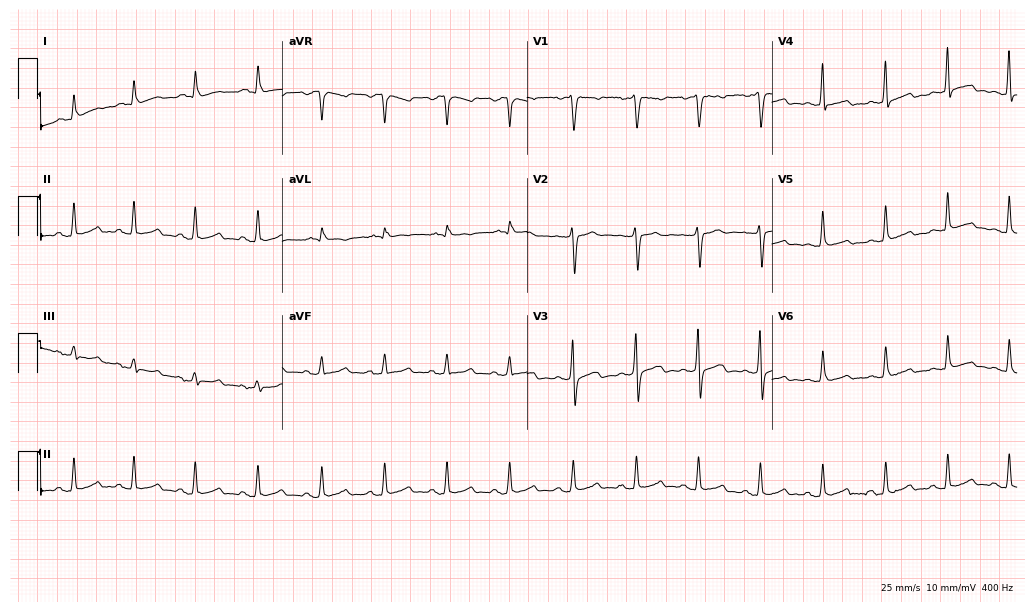
Electrocardiogram, a man, 55 years old. Of the six screened findings (first-degree AV block, right bundle branch block, left bundle branch block, sinus bradycardia, atrial fibrillation, sinus tachycardia), none is recorded.